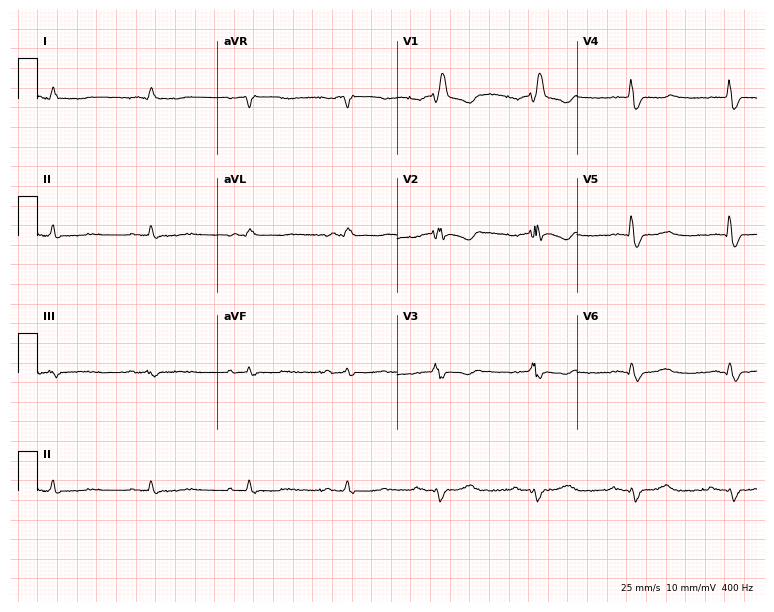
Resting 12-lead electrocardiogram (7.3-second recording at 400 Hz). Patient: a 61-year-old male. None of these six findings is recorded: first-degree AV block, right bundle branch block (RBBB), left bundle branch block (LBBB), sinus bradycardia, atrial fibrillation (AF), sinus tachycardia. Findings outside these six are not listed.